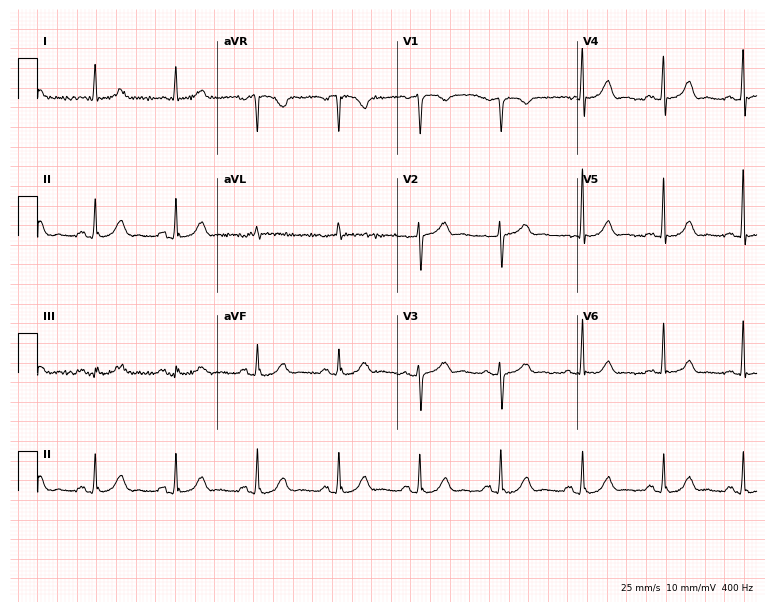
12-lead ECG from a female patient, 79 years old. Labelled as a normal ECG.